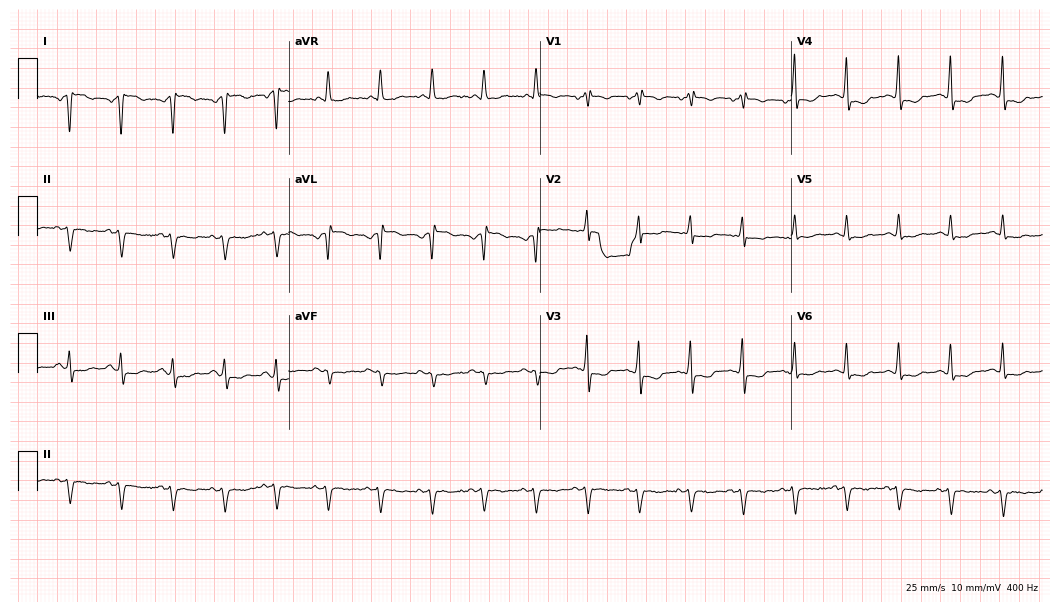
Electrocardiogram, a 64-year-old female patient. Of the six screened findings (first-degree AV block, right bundle branch block, left bundle branch block, sinus bradycardia, atrial fibrillation, sinus tachycardia), none is recorded.